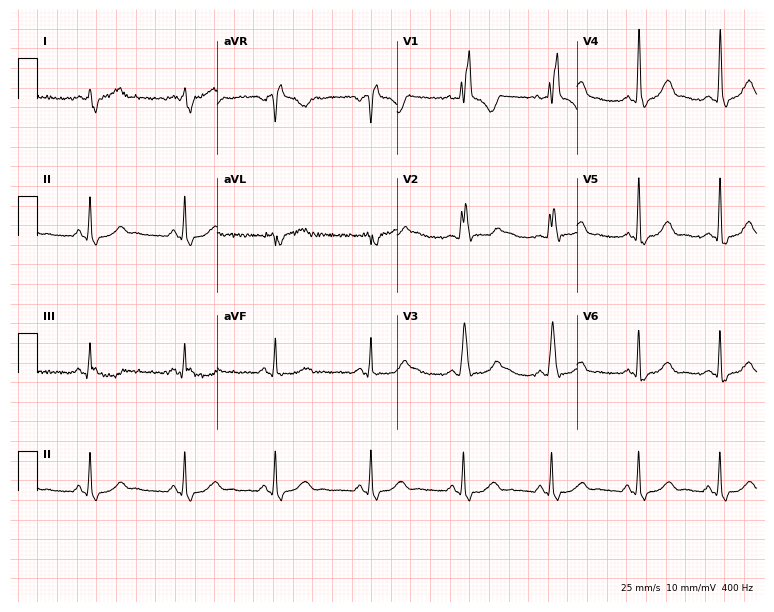
Electrocardiogram, a 53-year-old female patient. Interpretation includes right bundle branch block.